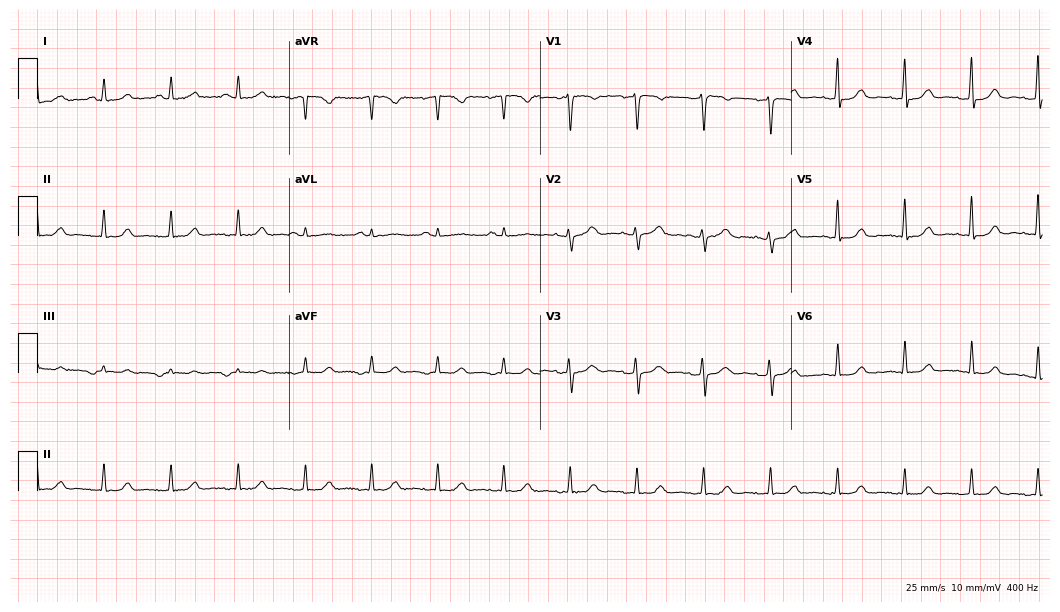
12-lead ECG from a female patient, 54 years old. Screened for six findings — first-degree AV block, right bundle branch block, left bundle branch block, sinus bradycardia, atrial fibrillation, sinus tachycardia — none is recorded. Other findings, if any, are not listed.